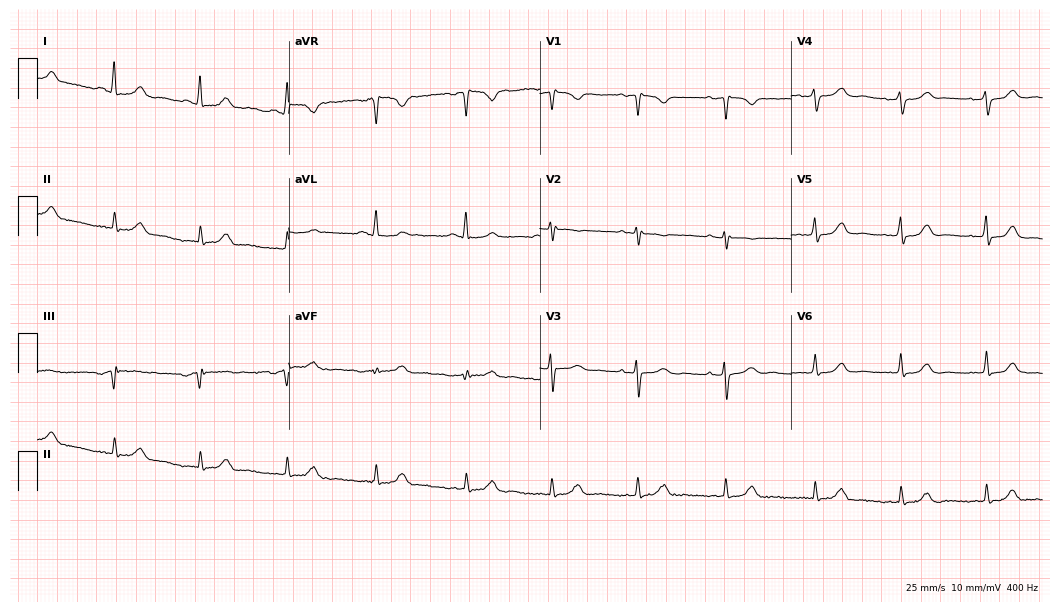
12-lead ECG from a 37-year-old female (10.2-second recording at 400 Hz). Recorded interpretation: within normal limits.